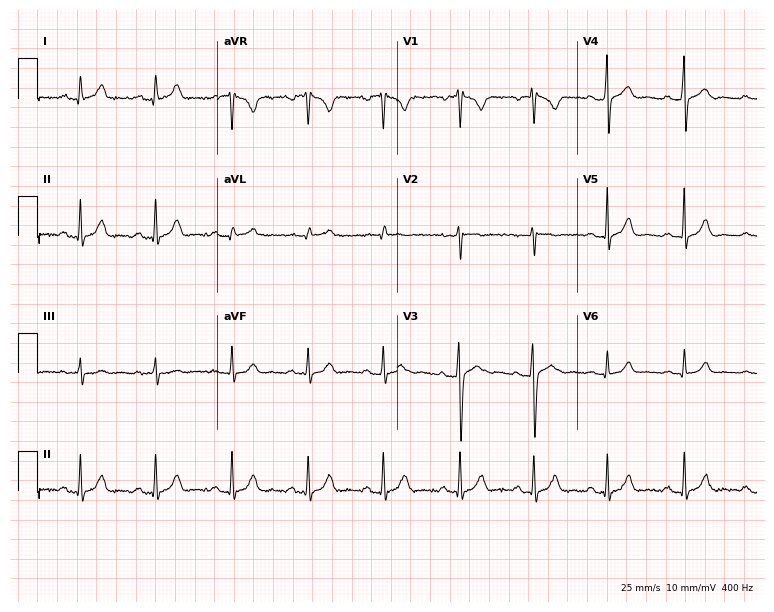
Electrocardiogram (7.3-second recording at 400 Hz), a 23-year-old woman. Overall reading on record: normal ECG.